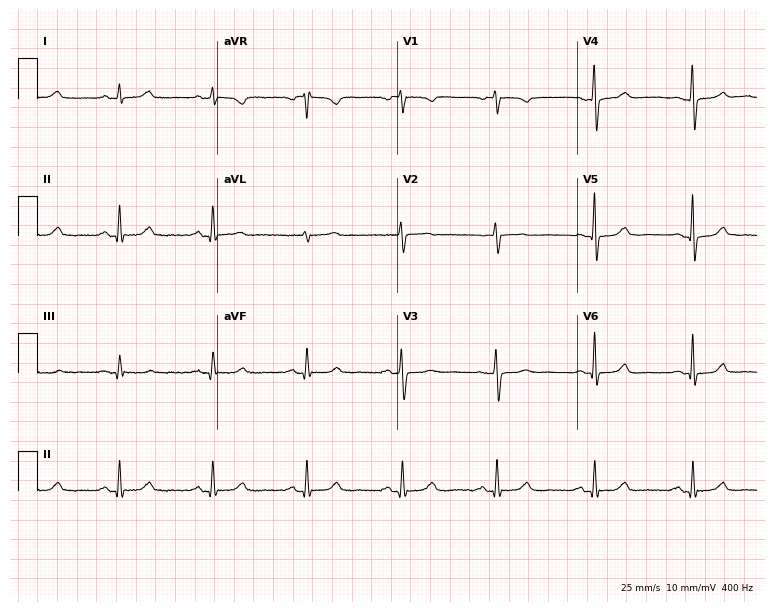
12-lead ECG (7.3-second recording at 400 Hz) from a 56-year-old female. Labelled as a normal ECG.